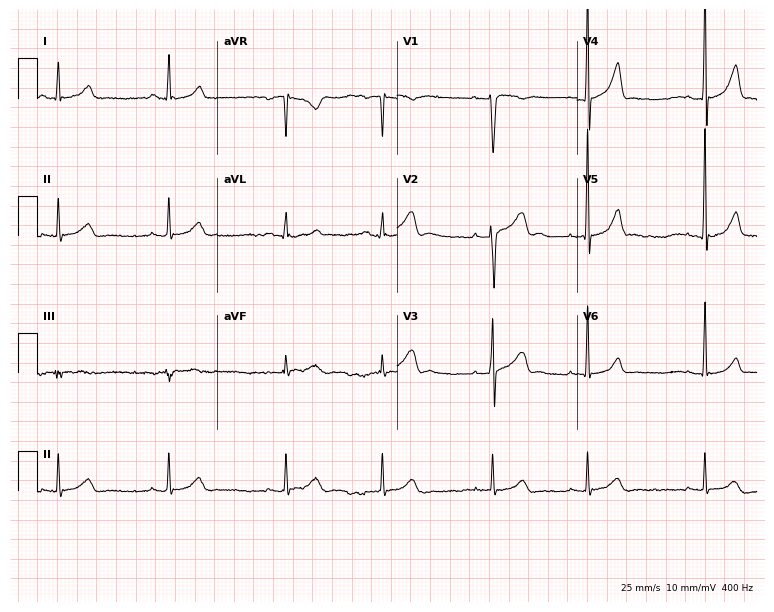
Standard 12-lead ECG recorded from a male patient, 24 years old. Read as a normal ECG.